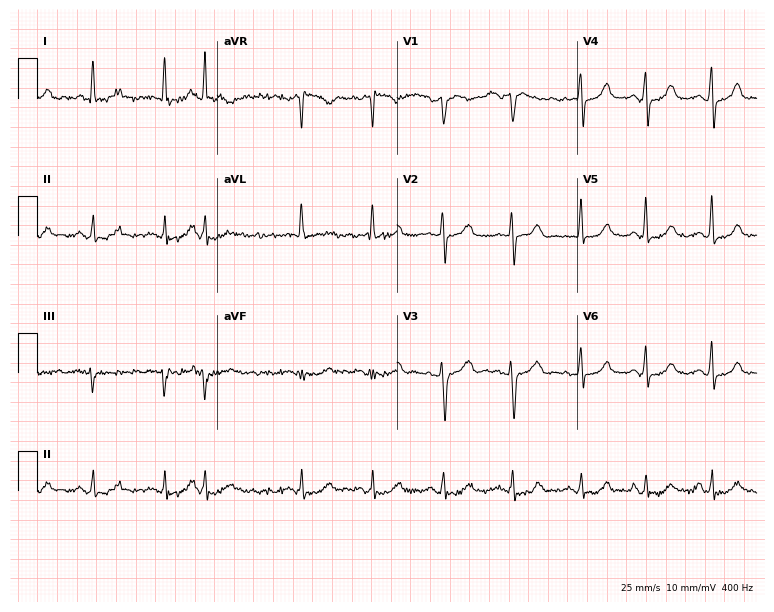
ECG — a female, 60 years old. Screened for six findings — first-degree AV block, right bundle branch block, left bundle branch block, sinus bradycardia, atrial fibrillation, sinus tachycardia — none is recorded. Other findings, if any, are not listed.